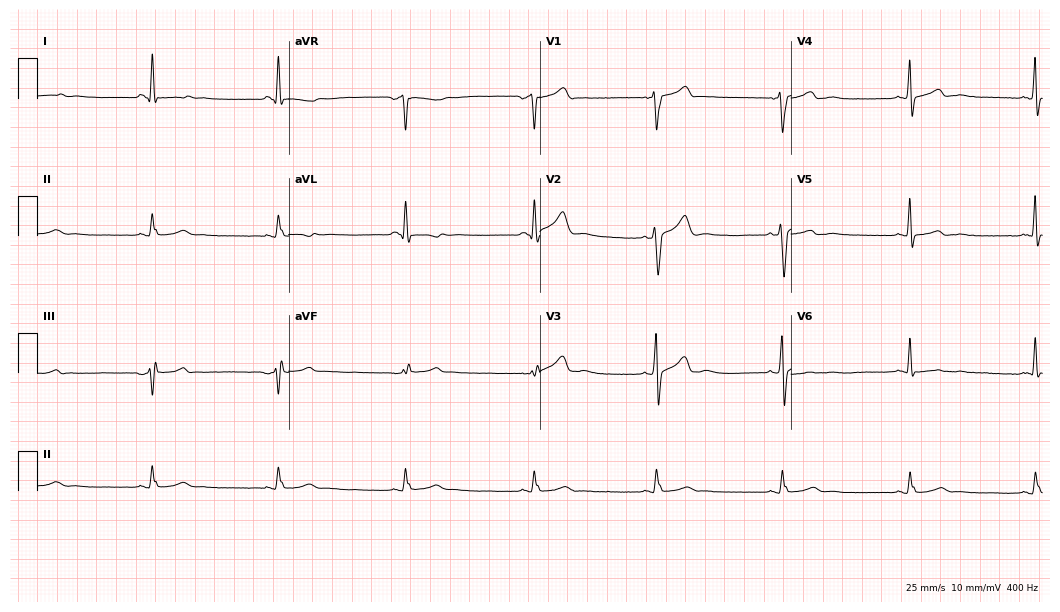
12-lead ECG from a 63-year-old male patient. Screened for six findings — first-degree AV block, right bundle branch block (RBBB), left bundle branch block (LBBB), sinus bradycardia, atrial fibrillation (AF), sinus tachycardia — none is recorded. Other findings, if any, are not listed.